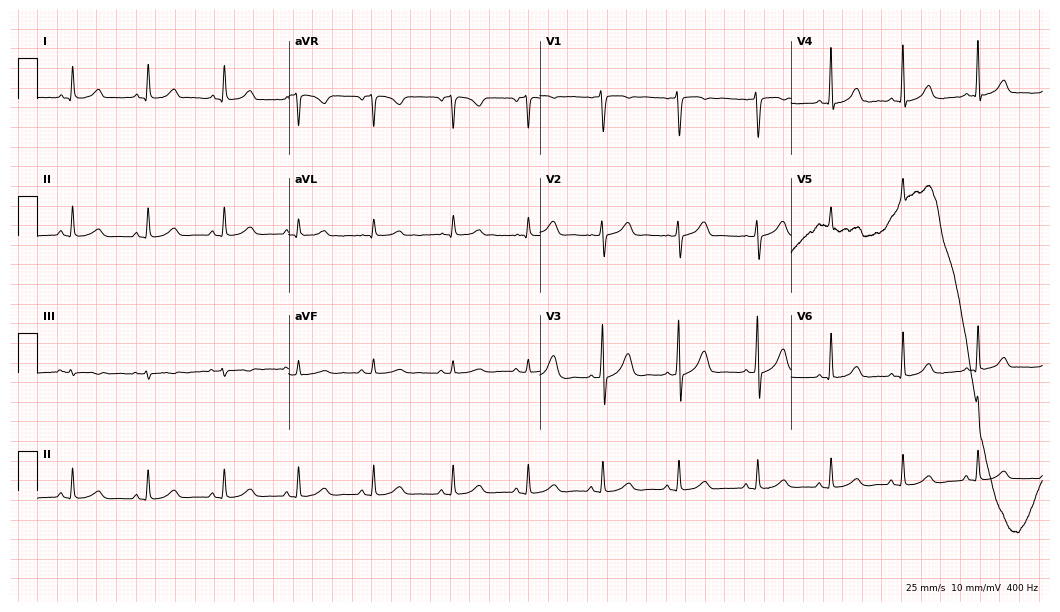
Resting 12-lead electrocardiogram. Patient: a 36-year-old female. Read as a normal ECG.